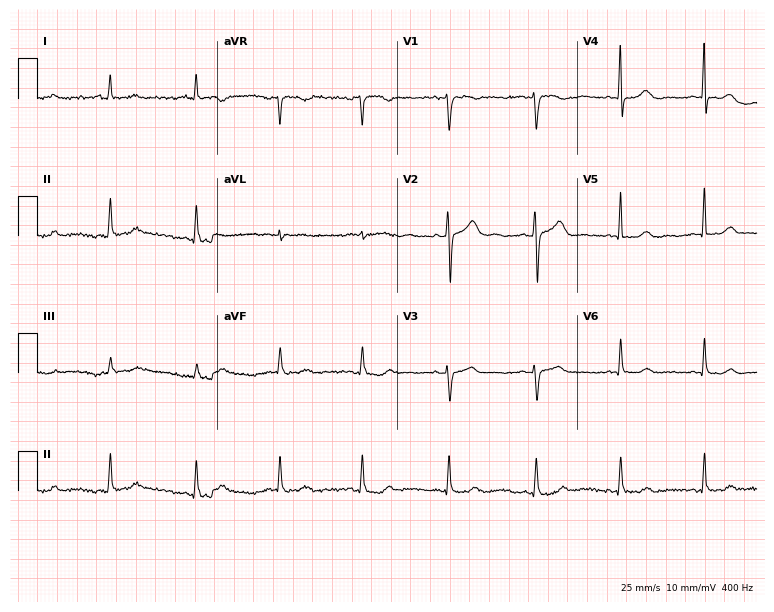
Resting 12-lead electrocardiogram. Patient: a female, 40 years old. Read as a normal ECG.